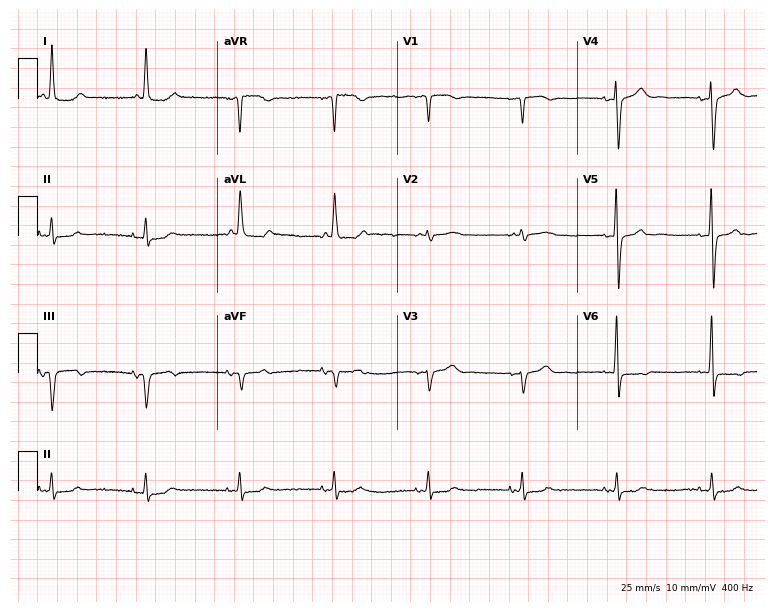
Resting 12-lead electrocardiogram. Patient: a female, 82 years old. None of these six findings is recorded: first-degree AV block, right bundle branch block, left bundle branch block, sinus bradycardia, atrial fibrillation, sinus tachycardia.